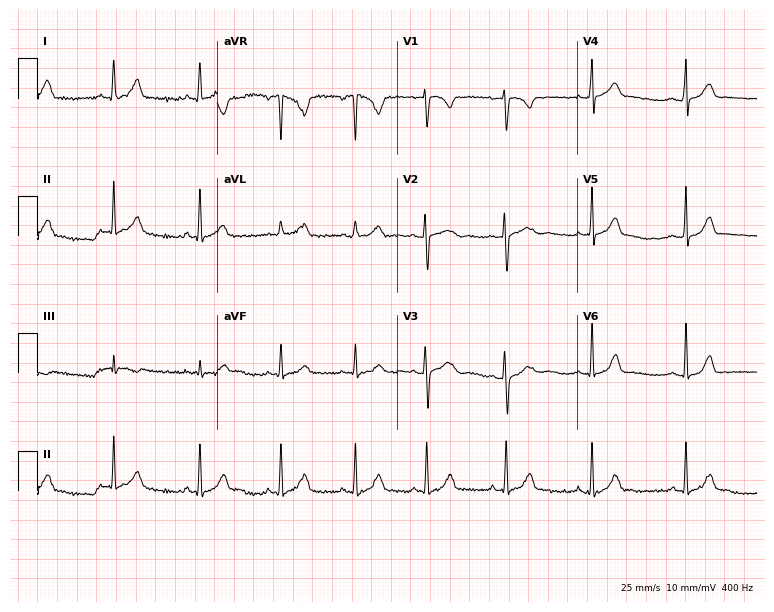
12-lead ECG from a 20-year-old female. Recorded interpretation: within normal limits.